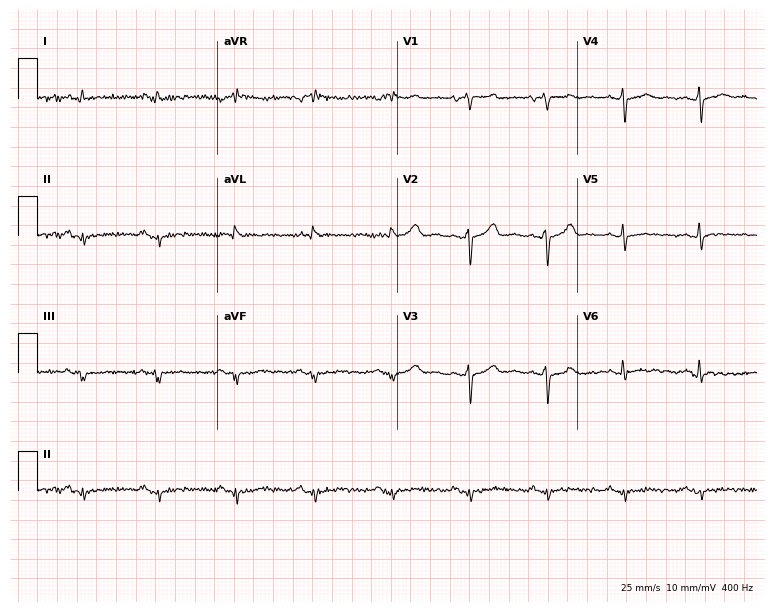
Standard 12-lead ECG recorded from a male, 51 years old (7.3-second recording at 400 Hz). Read as a normal ECG.